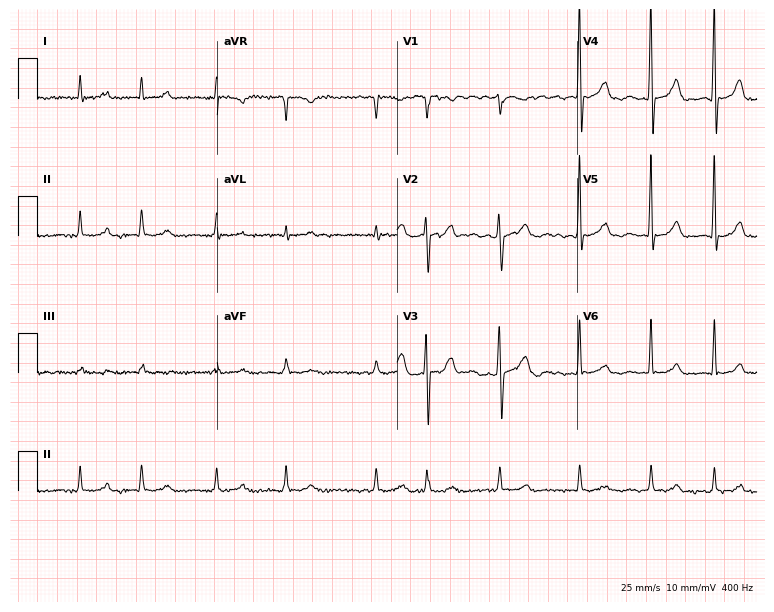
Standard 12-lead ECG recorded from a 69-year-old male patient (7.3-second recording at 400 Hz). The tracing shows atrial fibrillation.